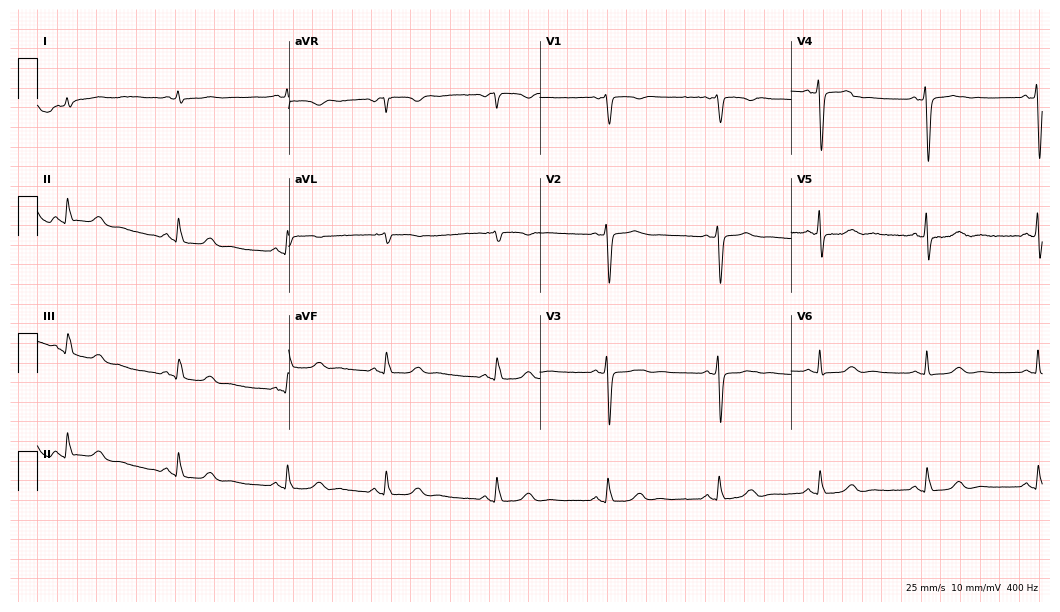
12-lead ECG (10.2-second recording at 400 Hz) from a female, 43 years old. Screened for six findings — first-degree AV block, right bundle branch block, left bundle branch block, sinus bradycardia, atrial fibrillation, sinus tachycardia — none is recorded.